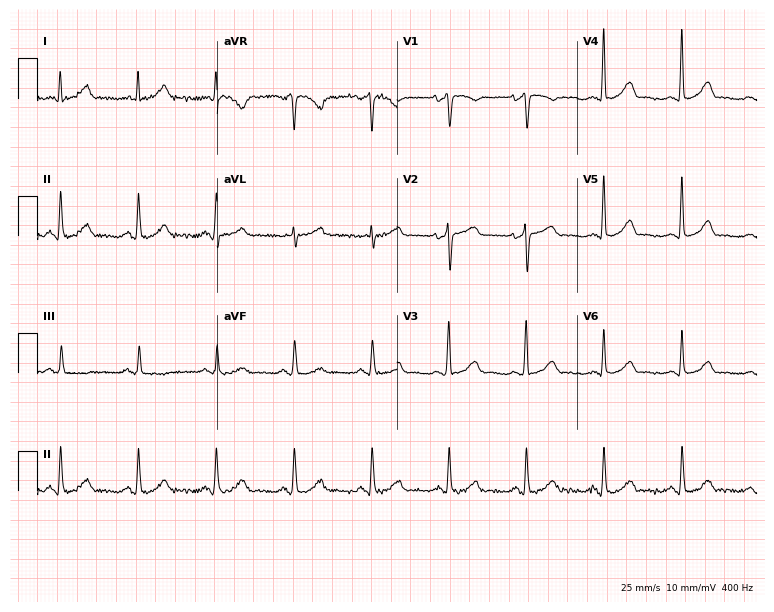
ECG (7.3-second recording at 400 Hz) — a female patient, 77 years old. Labelled as a normal ECG.